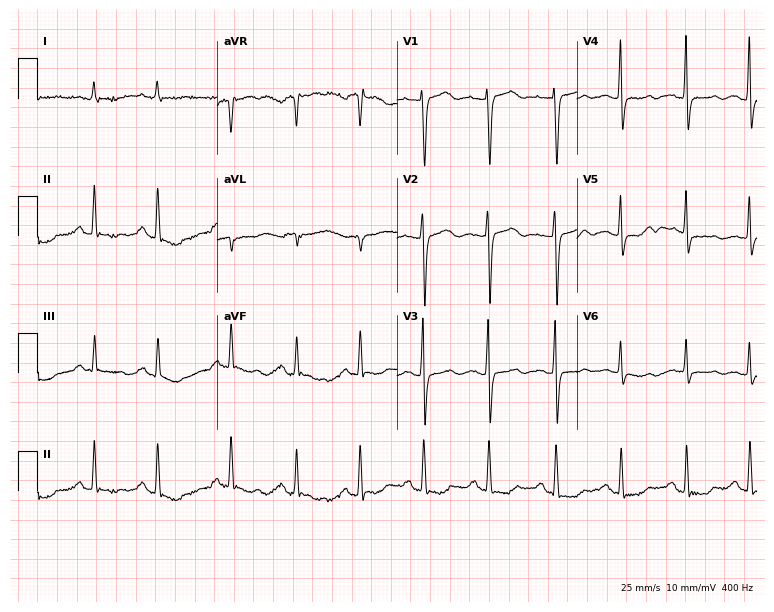
ECG — a female, 68 years old. Screened for six findings — first-degree AV block, right bundle branch block (RBBB), left bundle branch block (LBBB), sinus bradycardia, atrial fibrillation (AF), sinus tachycardia — none is recorded. Findings outside these six are not listed.